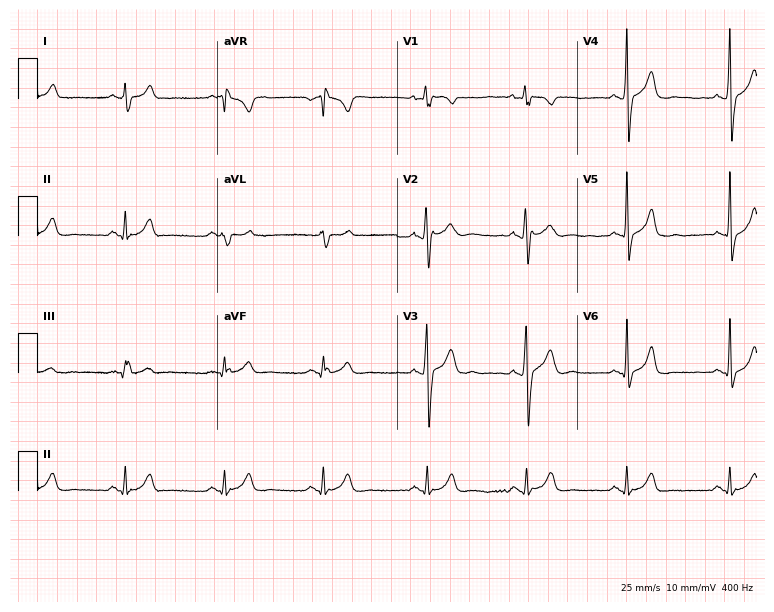
12-lead ECG from a man, 22 years old. Labelled as a normal ECG.